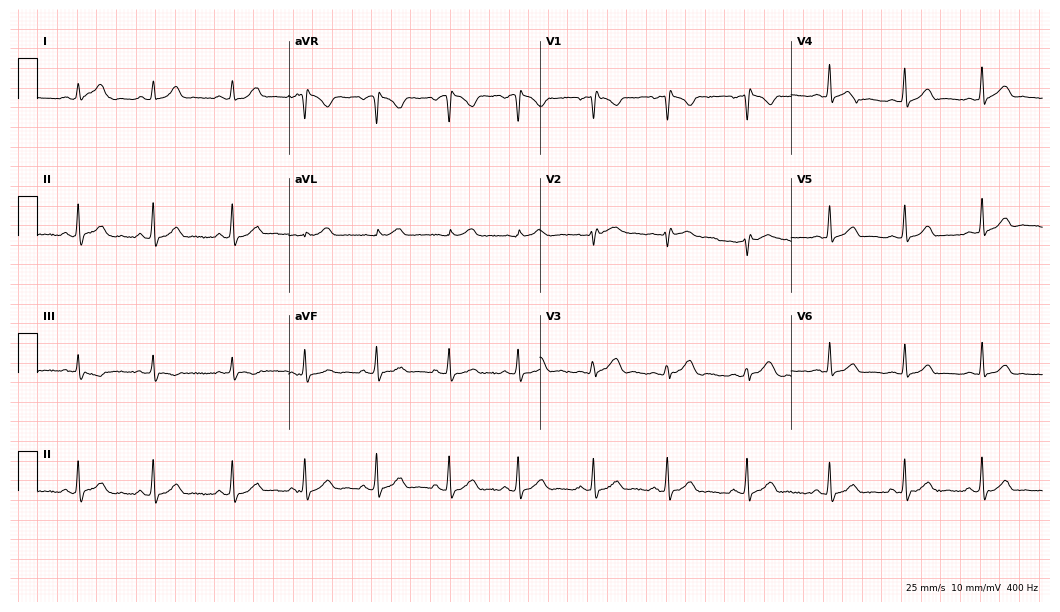
Electrocardiogram (10.2-second recording at 400 Hz), a female, 19 years old. Of the six screened findings (first-degree AV block, right bundle branch block (RBBB), left bundle branch block (LBBB), sinus bradycardia, atrial fibrillation (AF), sinus tachycardia), none is recorded. Other findings, if any, are not listed.